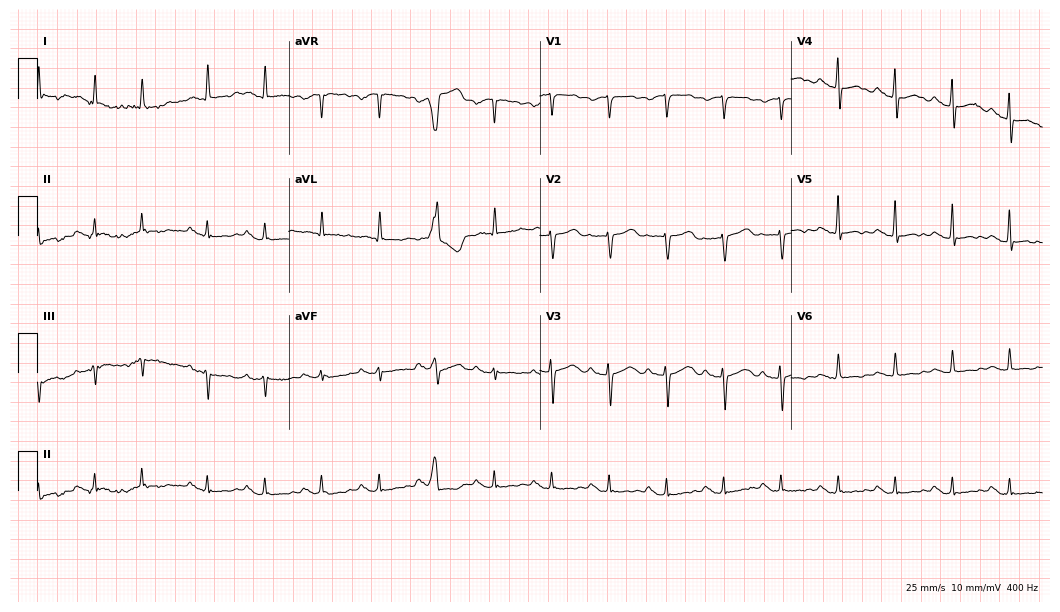
12-lead ECG from a female patient, 75 years old. No first-degree AV block, right bundle branch block, left bundle branch block, sinus bradycardia, atrial fibrillation or sinus tachycardia recorded for this tracing. Findings outside these six are not listed.